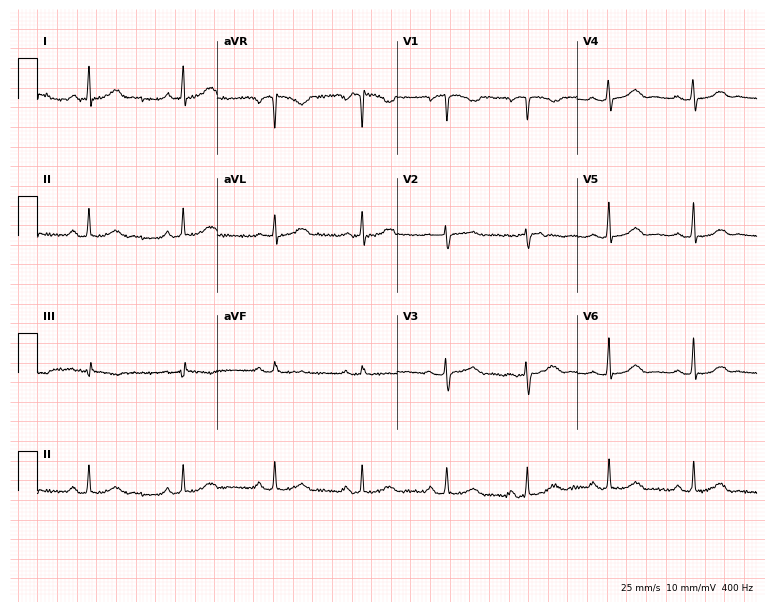
12-lead ECG from a 34-year-old female (7.3-second recording at 400 Hz). Recorded interpretation: within normal limits.